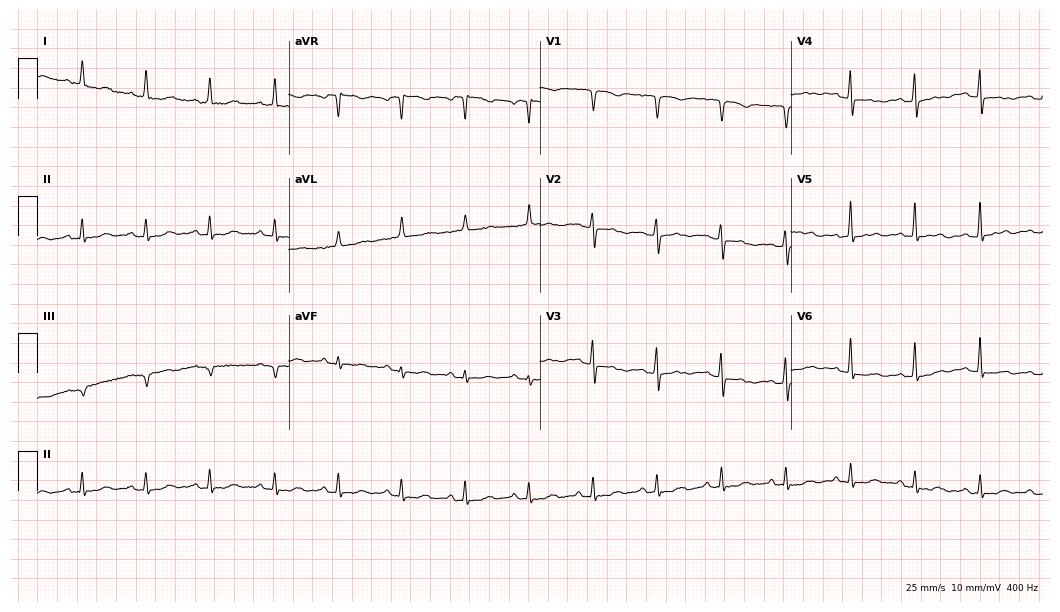
ECG — a female patient, 77 years old. Labelled as a normal ECG.